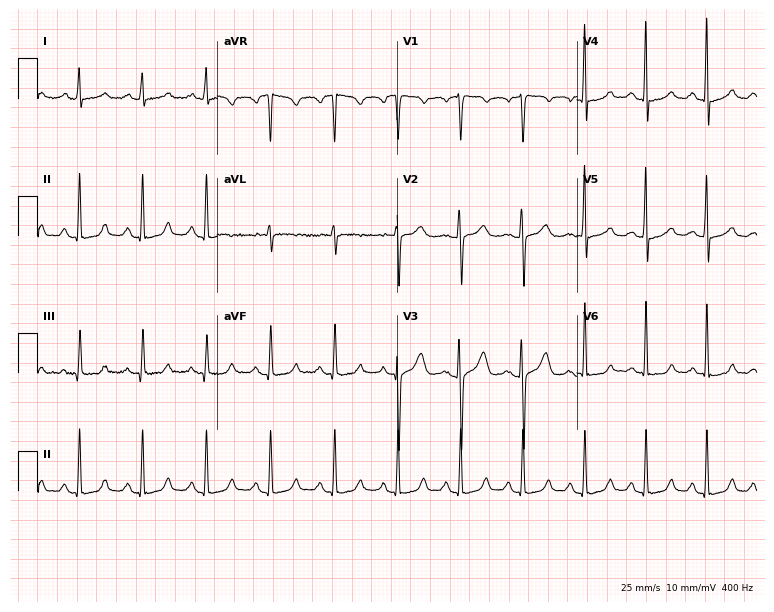
12-lead ECG from a female, 29 years old. Recorded interpretation: within normal limits.